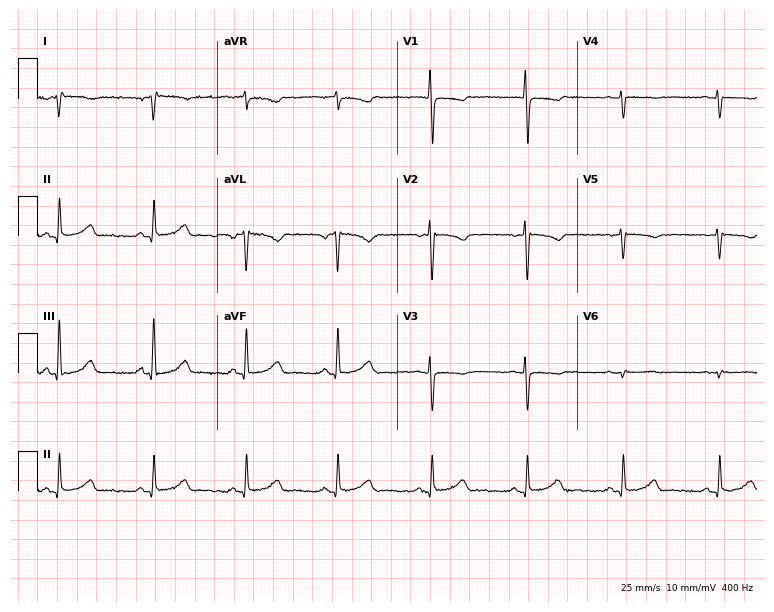
Standard 12-lead ECG recorded from a 36-year-old female patient (7.3-second recording at 400 Hz). None of these six findings is recorded: first-degree AV block, right bundle branch block (RBBB), left bundle branch block (LBBB), sinus bradycardia, atrial fibrillation (AF), sinus tachycardia. Findings outside these six are not listed.